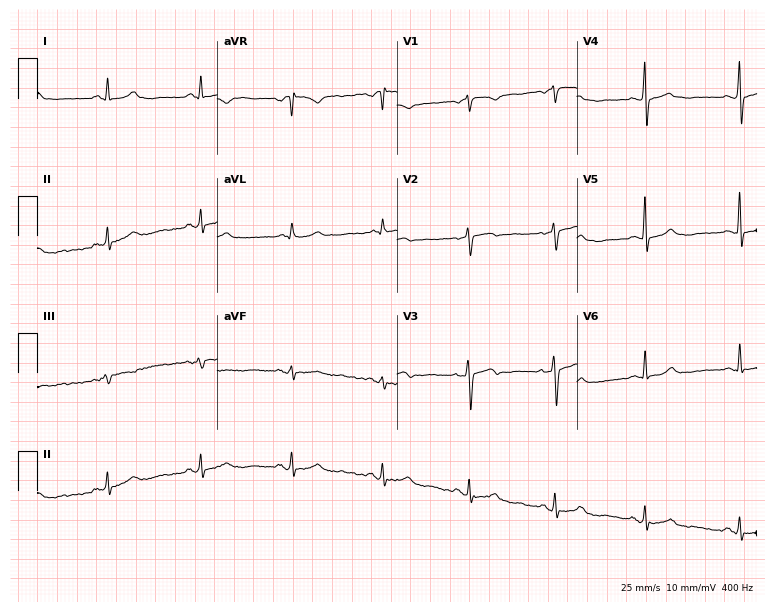
12-lead ECG from a 47-year-old woman. No first-degree AV block, right bundle branch block, left bundle branch block, sinus bradycardia, atrial fibrillation or sinus tachycardia recorded for this tracing. Findings outside these six are not listed.